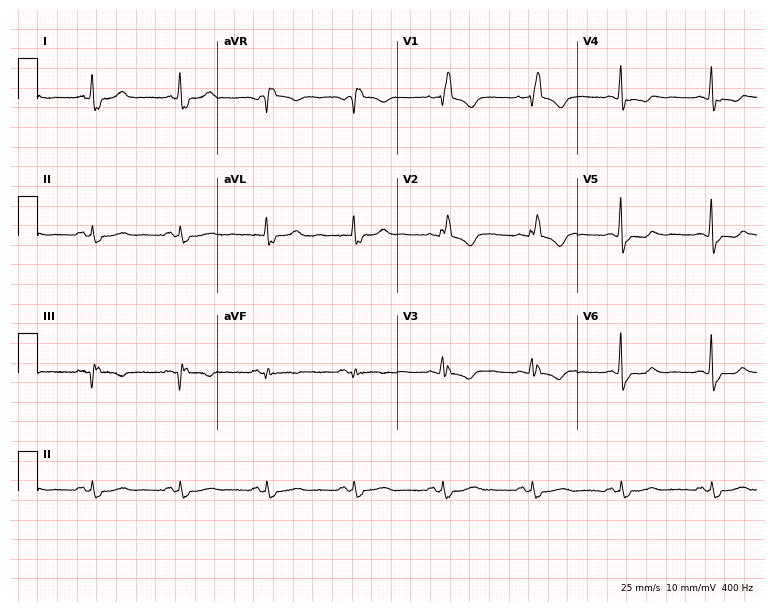
12-lead ECG (7.3-second recording at 400 Hz) from a female, 74 years old. Findings include right bundle branch block.